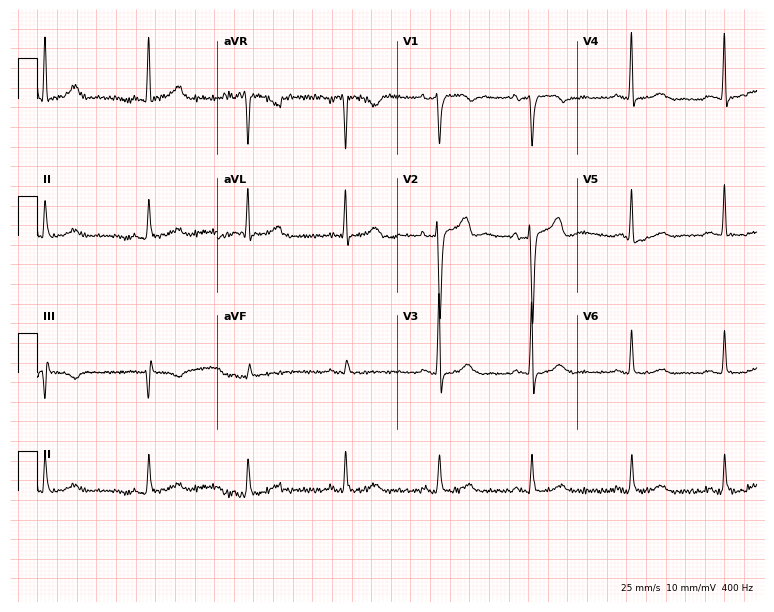
Standard 12-lead ECG recorded from a 75-year-old man. Read as a normal ECG.